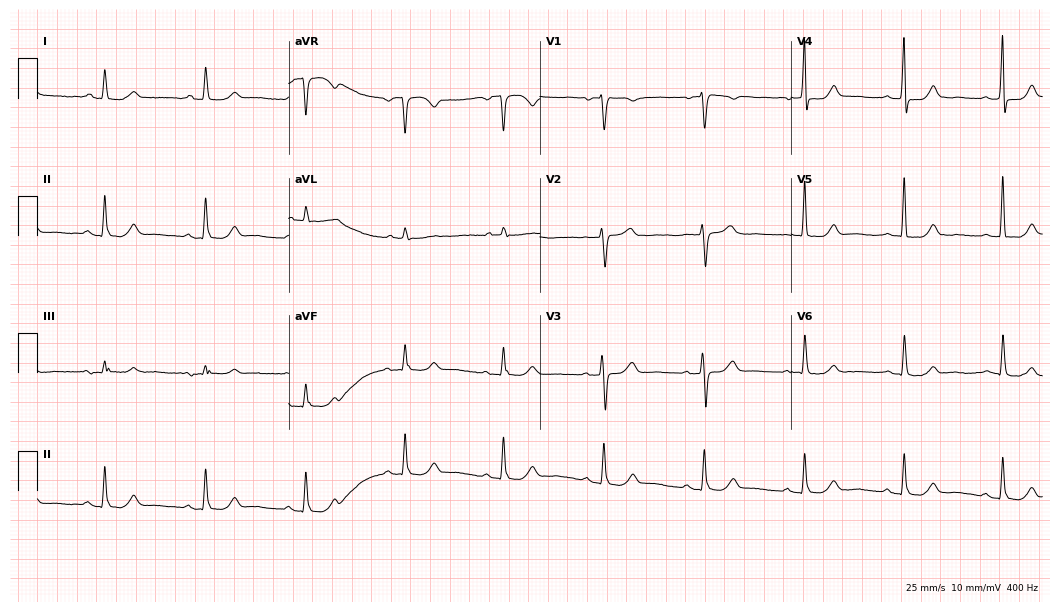
Electrocardiogram, a female, 75 years old. Overall reading on record: normal ECG.